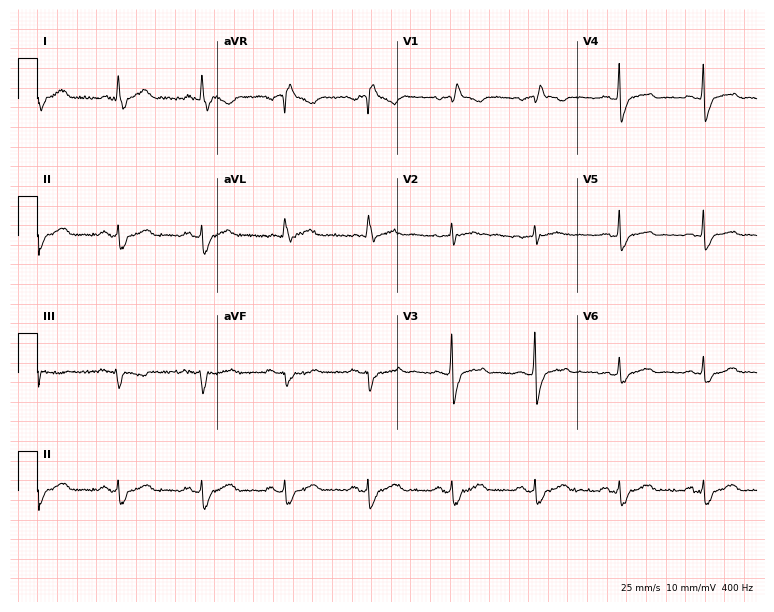
Resting 12-lead electrocardiogram (7.3-second recording at 400 Hz). Patient: an 82-year-old female. The tracing shows right bundle branch block.